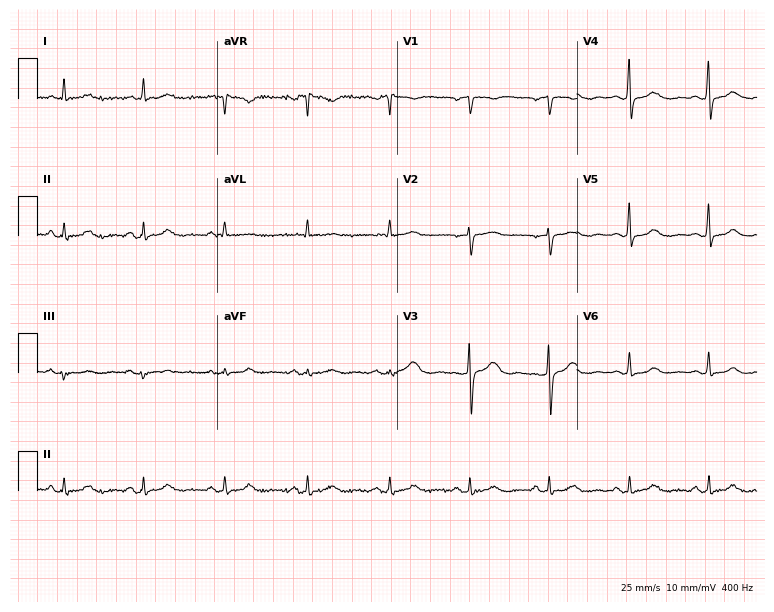
12-lead ECG from a woman, 49 years old. Recorded interpretation: within normal limits.